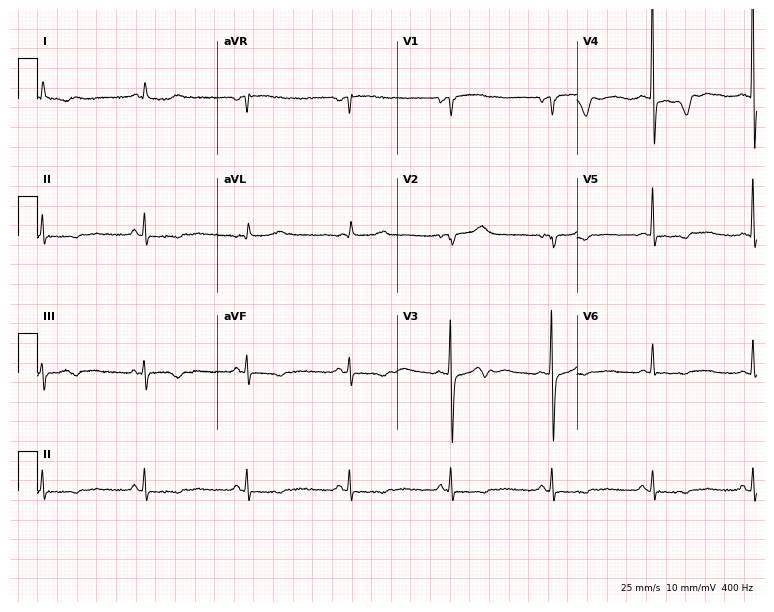
ECG — a female, 84 years old. Screened for six findings — first-degree AV block, right bundle branch block (RBBB), left bundle branch block (LBBB), sinus bradycardia, atrial fibrillation (AF), sinus tachycardia — none is recorded. Findings outside these six are not listed.